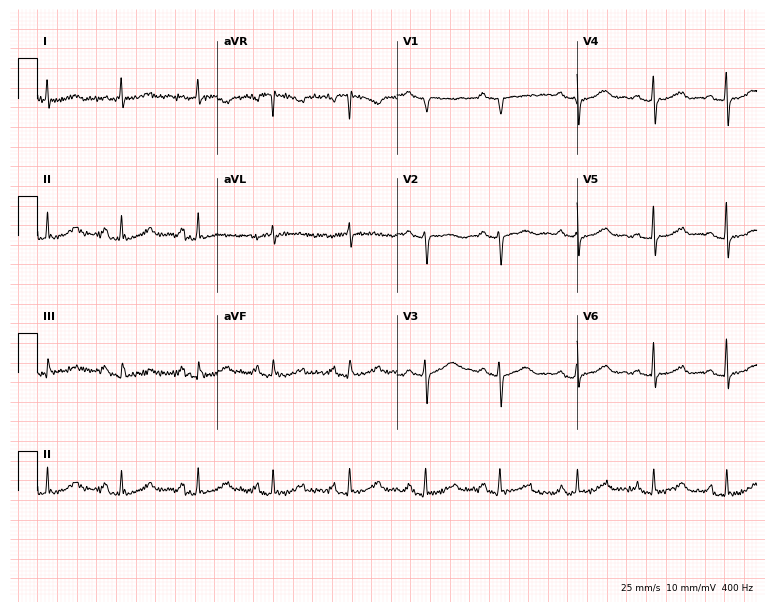
12-lead ECG (7.3-second recording at 400 Hz) from a 38-year-old woman. Labelled as a normal ECG.